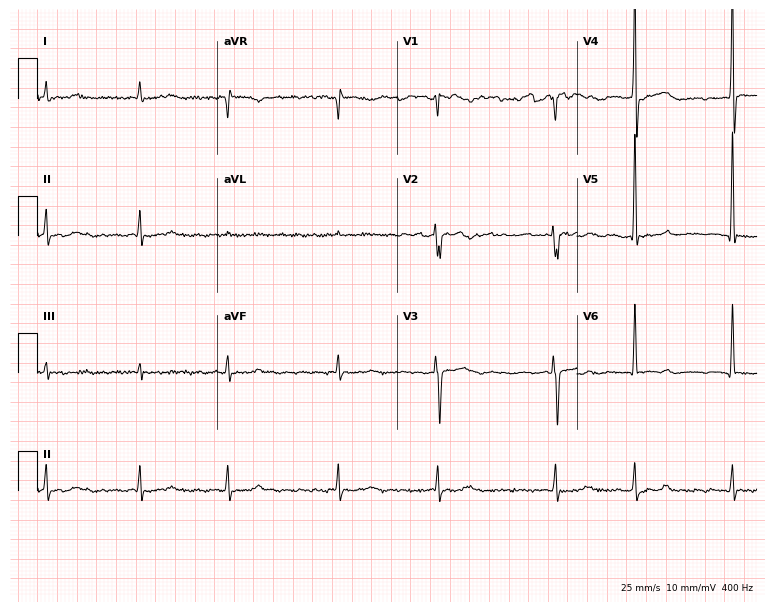
12-lead ECG (7.3-second recording at 400 Hz) from a 43-year-old man. Findings include atrial fibrillation (AF).